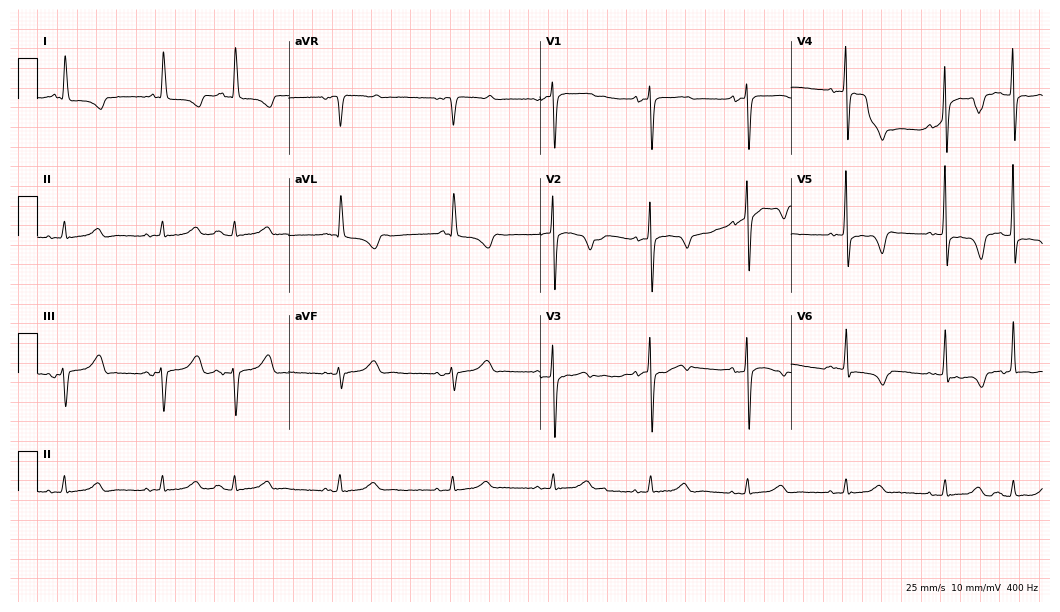
Resting 12-lead electrocardiogram (10.2-second recording at 400 Hz). Patient: a female, 70 years old. None of these six findings is recorded: first-degree AV block, right bundle branch block (RBBB), left bundle branch block (LBBB), sinus bradycardia, atrial fibrillation (AF), sinus tachycardia.